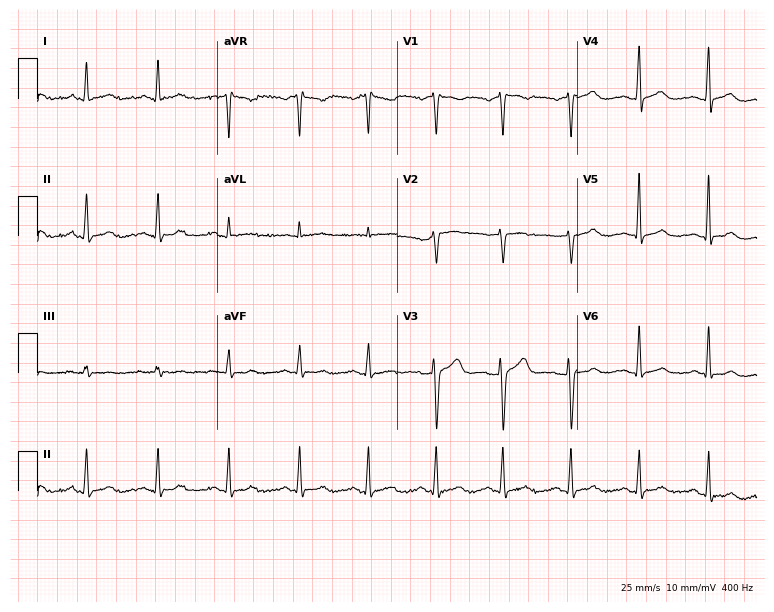
Electrocardiogram, a woman, 49 years old. Overall reading on record: normal ECG.